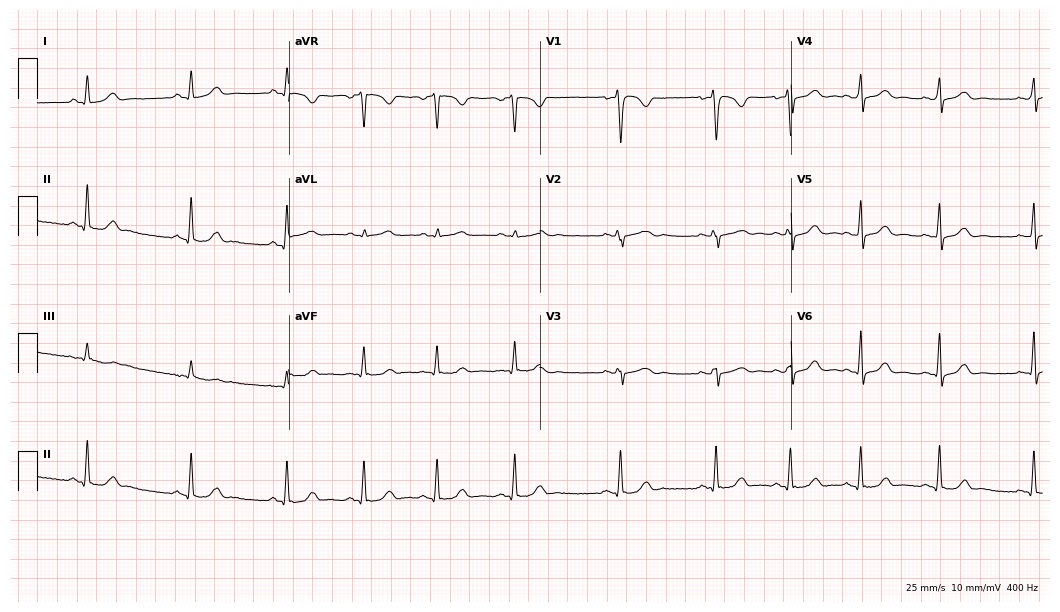
Electrocardiogram, a 23-year-old female patient. Overall reading on record: normal ECG.